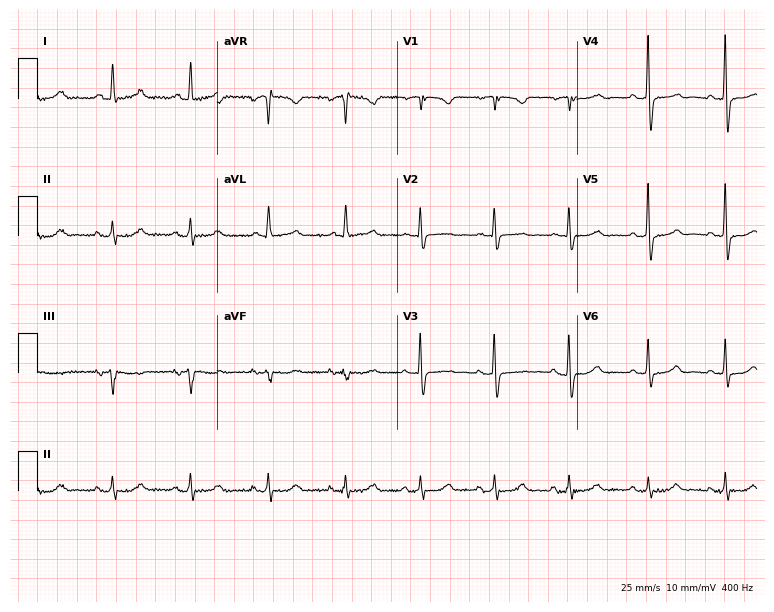
ECG (7.3-second recording at 400 Hz) — an 81-year-old female. Labelled as a normal ECG.